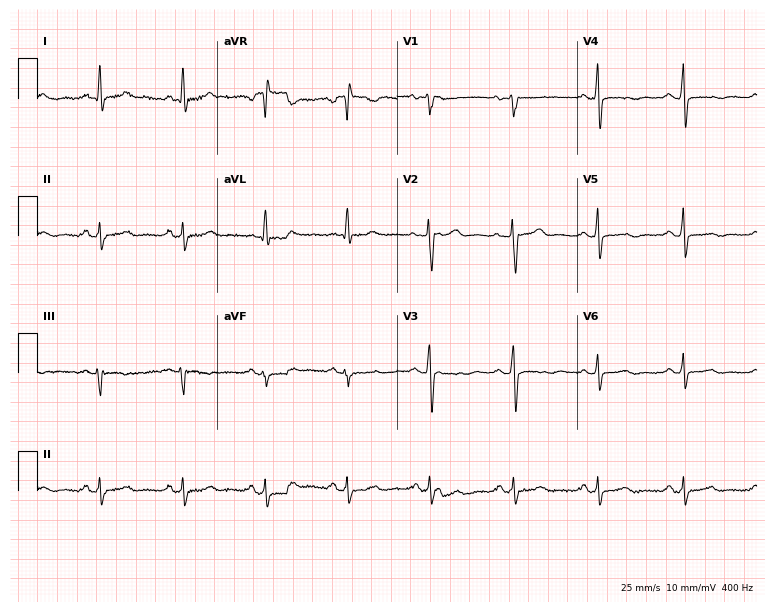
Standard 12-lead ECG recorded from a male patient, 56 years old. None of these six findings is recorded: first-degree AV block, right bundle branch block (RBBB), left bundle branch block (LBBB), sinus bradycardia, atrial fibrillation (AF), sinus tachycardia. Findings outside these six are not listed.